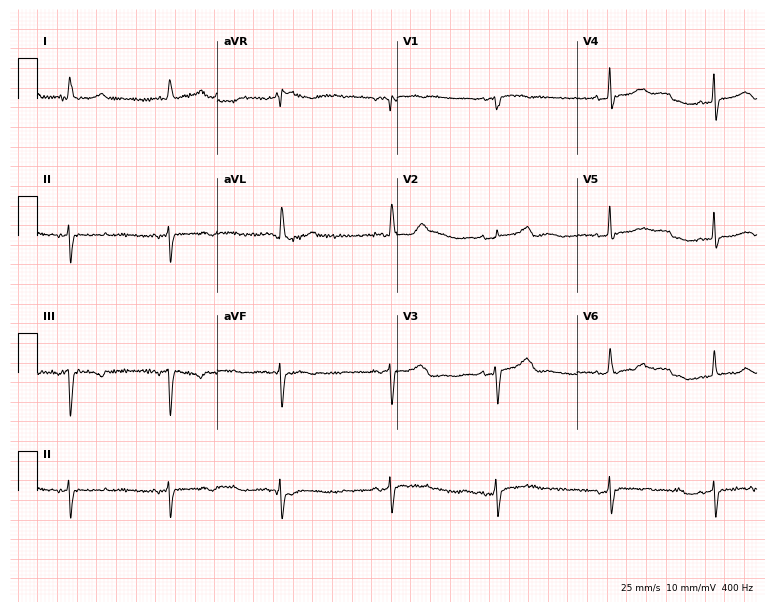
12-lead ECG from a female patient, 78 years old. Screened for six findings — first-degree AV block, right bundle branch block, left bundle branch block, sinus bradycardia, atrial fibrillation, sinus tachycardia — none is recorded.